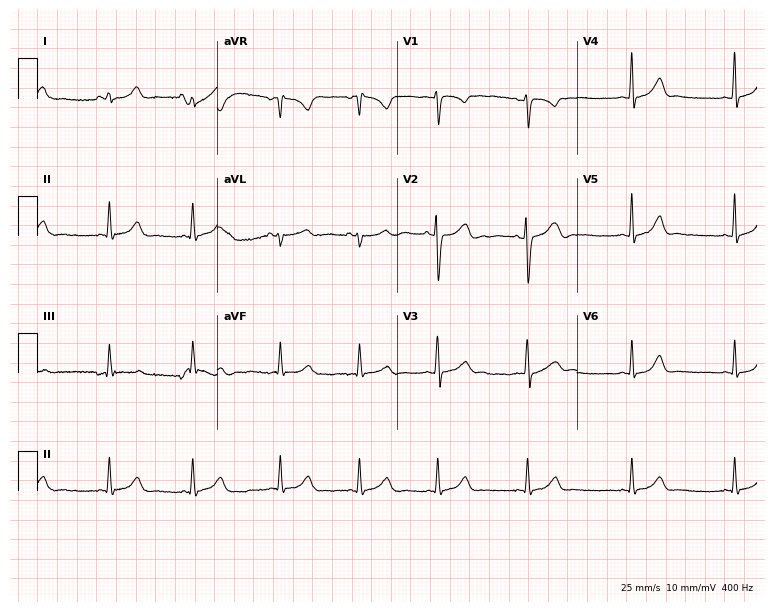
Electrocardiogram, a female, 17 years old. Overall reading on record: normal ECG.